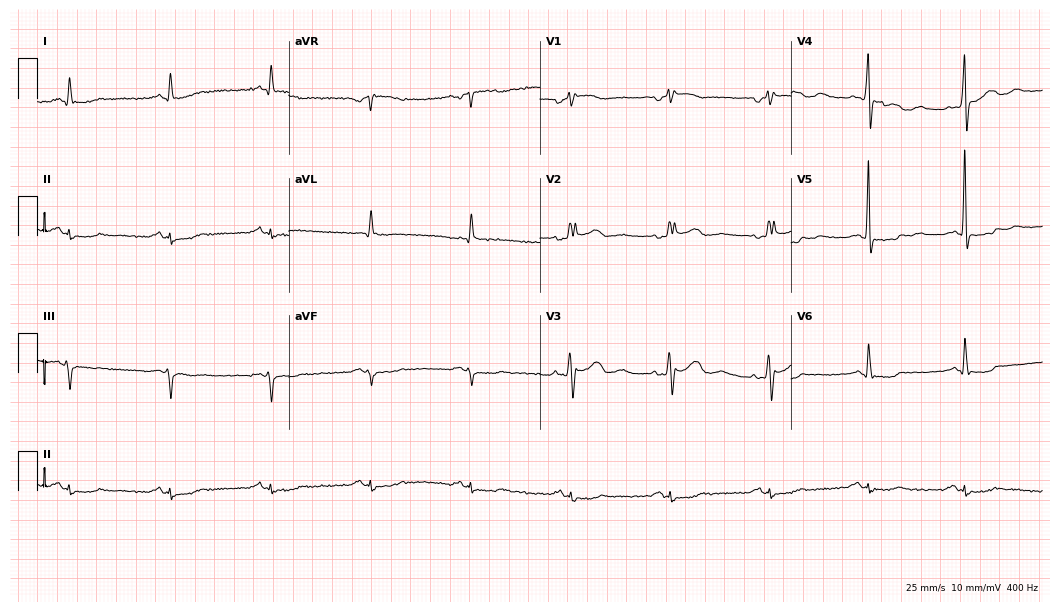
Resting 12-lead electrocardiogram. Patient: a 53-year-old male. None of these six findings is recorded: first-degree AV block, right bundle branch block, left bundle branch block, sinus bradycardia, atrial fibrillation, sinus tachycardia.